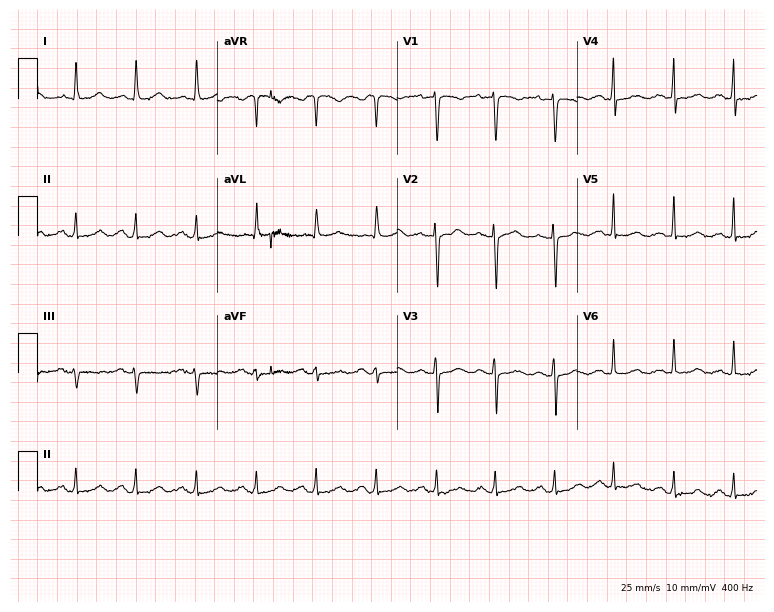
Resting 12-lead electrocardiogram. Patient: a male, 60 years old. Read as a normal ECG.